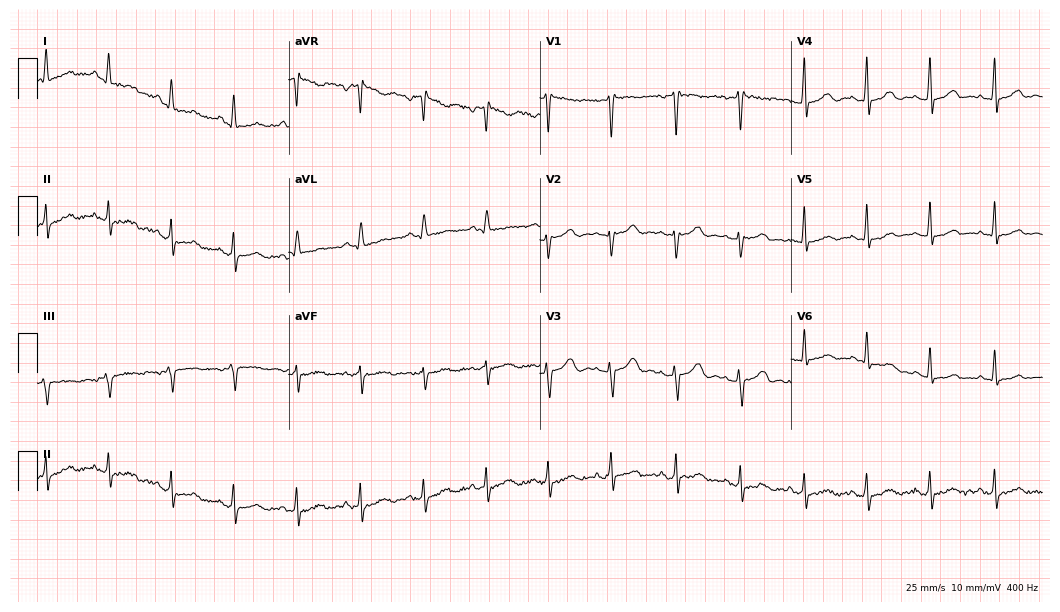
Resting 12-lead electrocardiogram. Patient: a 29-year-old woman. None of these six findings is recorded: first-degree AV block, right bundle branch block, left bundle branch block, sinus bradycardia, atrial fibrillation, sinus tachycardia.